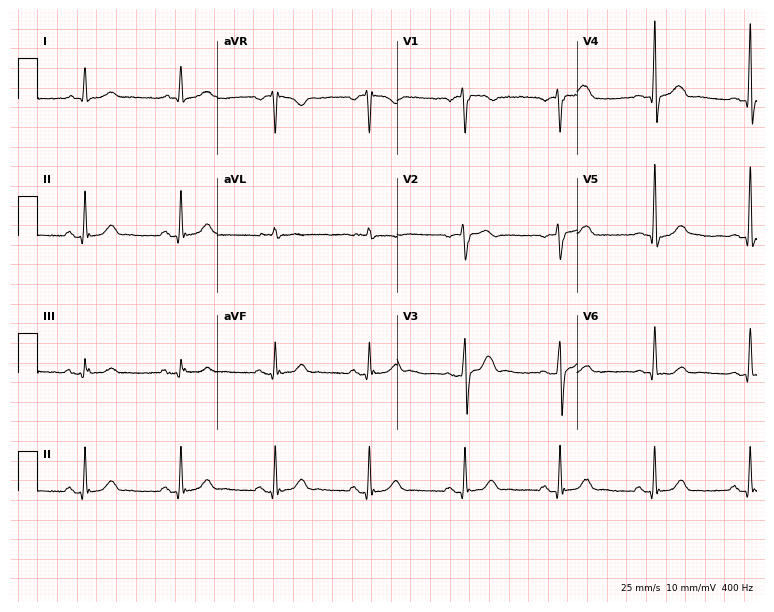
Resting 12-lead electrocardiogram (7.3-second recording at 400 Hz). Patient: a 48-year-old man. Read as a normal ECG.